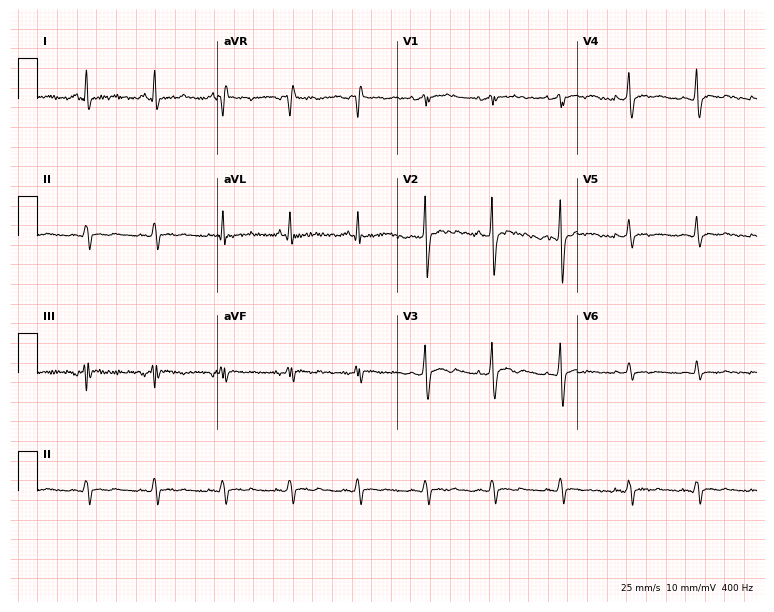
12-lead ECG (7.3-second recording at 400 Hz) from a man, 34 years old. Screened for six findings — first-degree AV block, right bundle branch block, left bundle branch block, sinus bradycardia, atrial fibrillation, sinus tachycardia — none is recorded. Only these six findings were labelled.